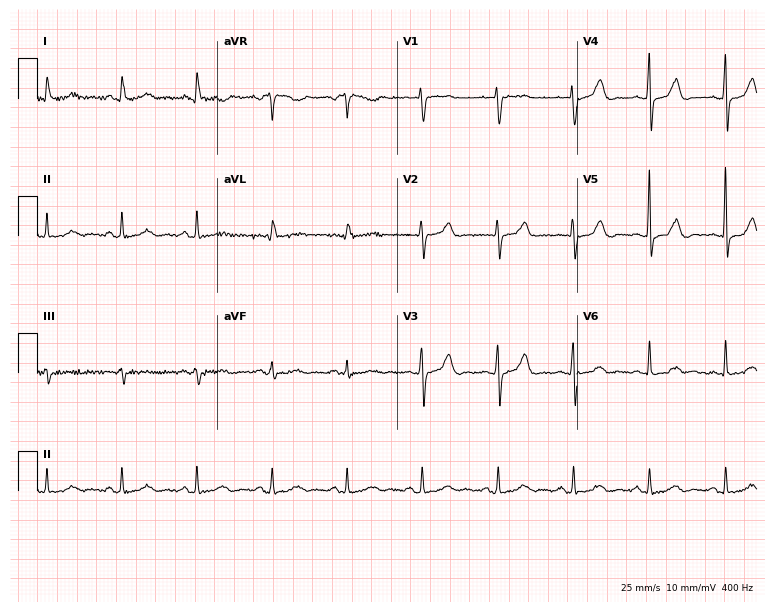
Electrocardiogram, a female, 60 years old. Overall reading on record: normal ECG.